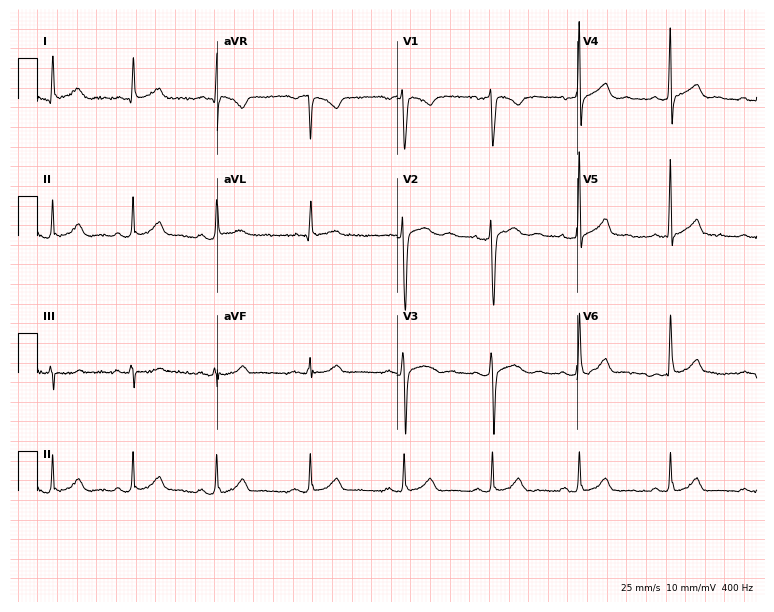
12-lead ECG from a 29-year-old man. Labelled as a normal ECG.